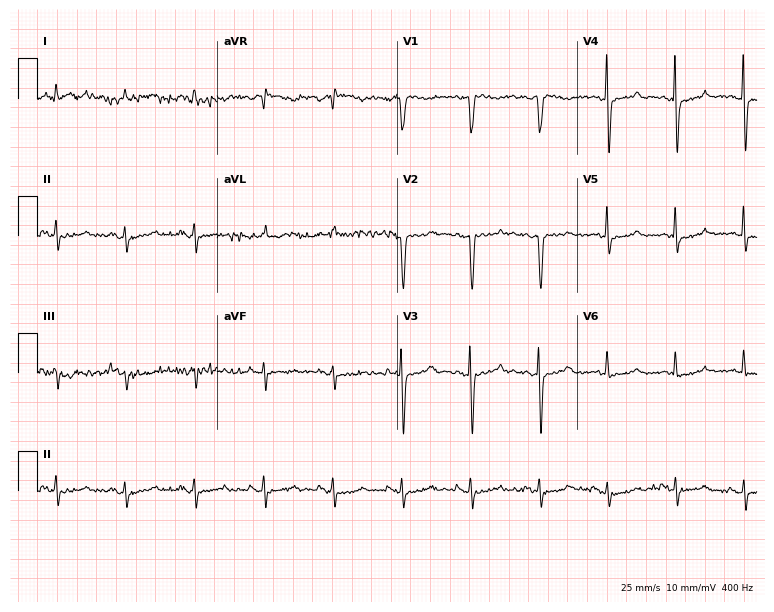
Resting 12-lead electrocardiogram (7.3-second recording at 400 Hz). Patient: an 82-year-old woman. None of these six findings is recorded: first-degree AV block, right bundle branch block (RBBB), left bundle branch block (LBBB), sinus bradycardia, atrial fibrillation (AF), sinus tachycardia.